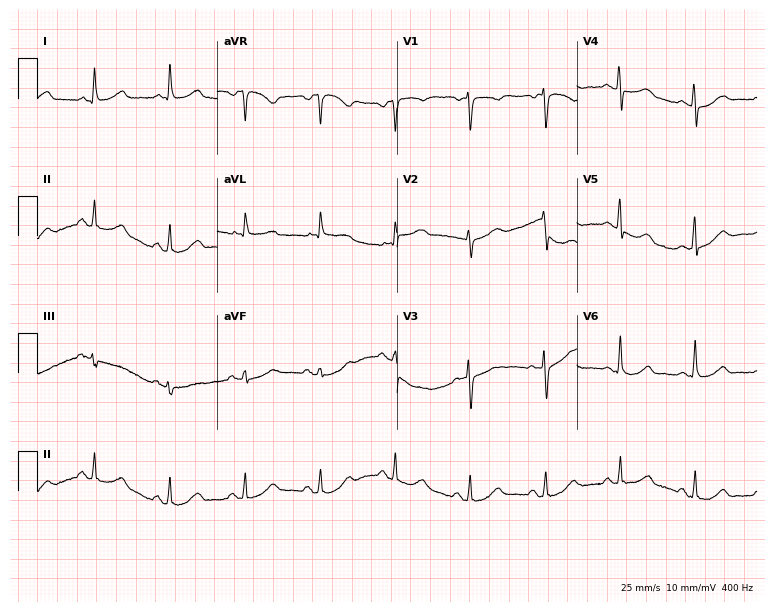
Electrocardiogram (7.3-second recording at 400 Hz), a female, 59 years old. Overall reading on record: normal ECG.